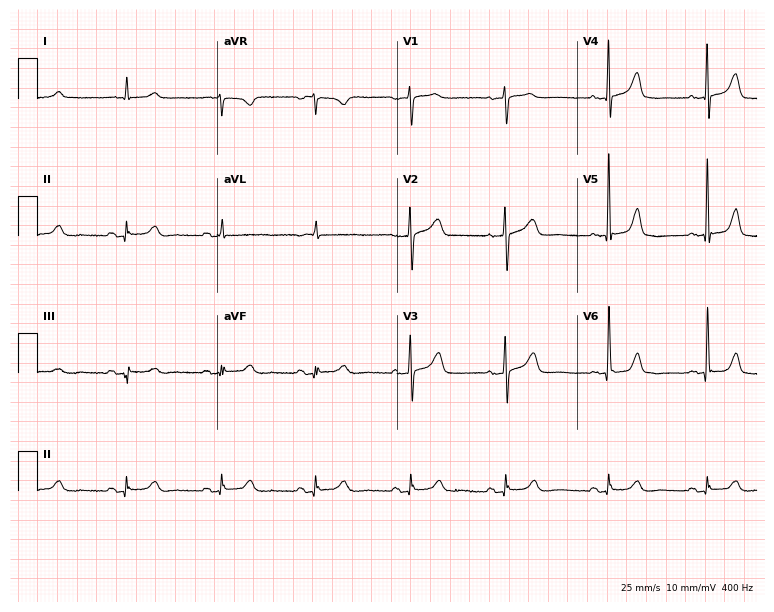
Resting 12-lead electrocardiogram. Patient: a female, 82 years old. None of these six findings is recorded: first-degree AV block, right bundle branch block, left bundle branch block, sinus bradycardia, atrial fibrillation, sinus tachycardia. Findings outside these six are not listed.